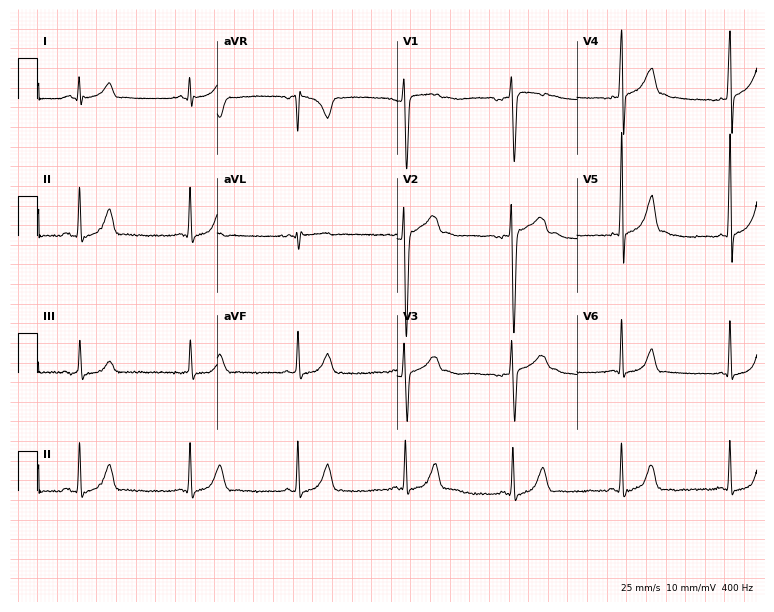
ECG (7.3-second recording at 400 Hz) — a 17-year-old male. Labelled as a normal ECG.